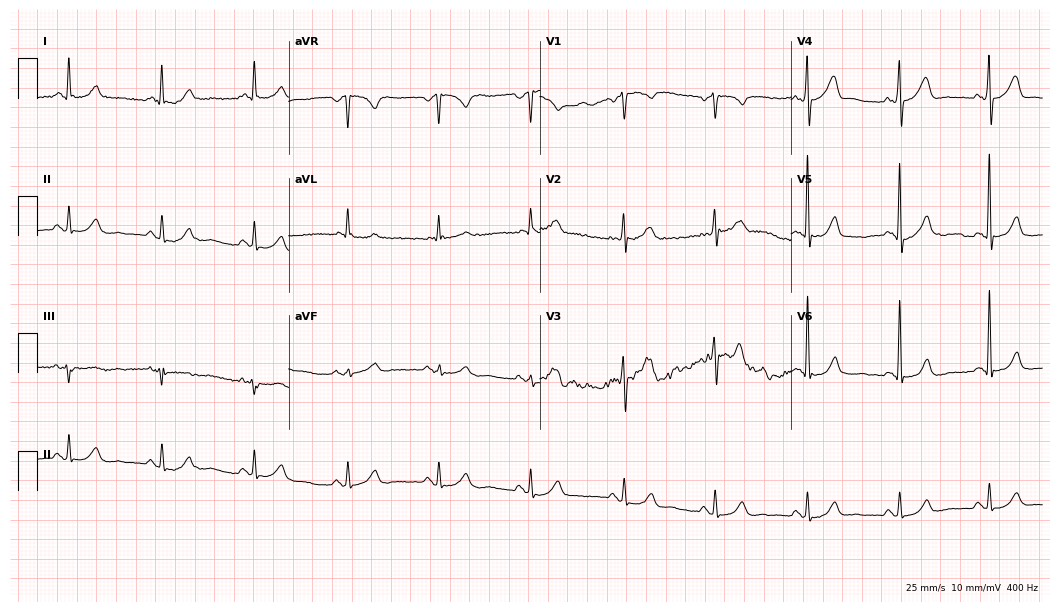
Standard 12-lead ECG recorded from a man, 53 years old. Read as a normal ECG.